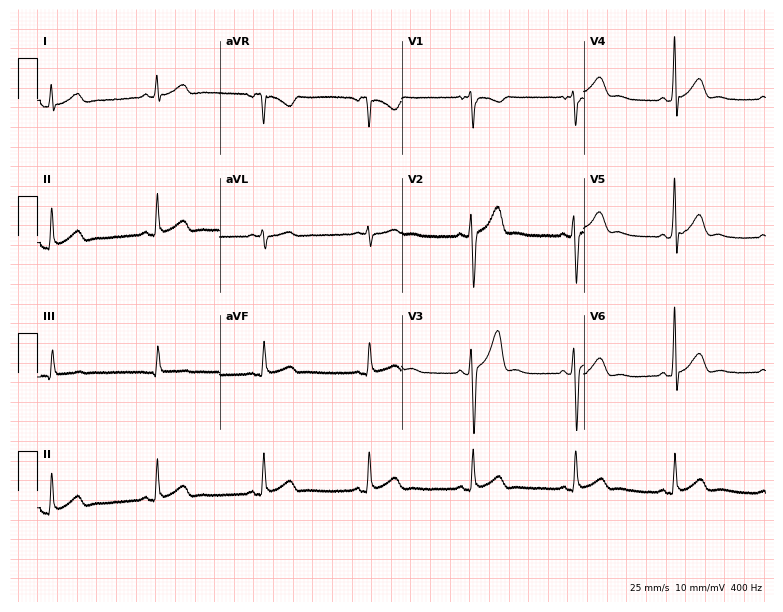
ECG (7.4-second recording at 400 Hz) — a woman, 47 years old. Screened for six findings — first-degree AV block, right bundle branch block (RBBB), left bundle branch block (LBBB), sinus bradycardia, atrial fibrillation (AF), sinus tachycardia — none is recorded. Only these six findings were labelled.